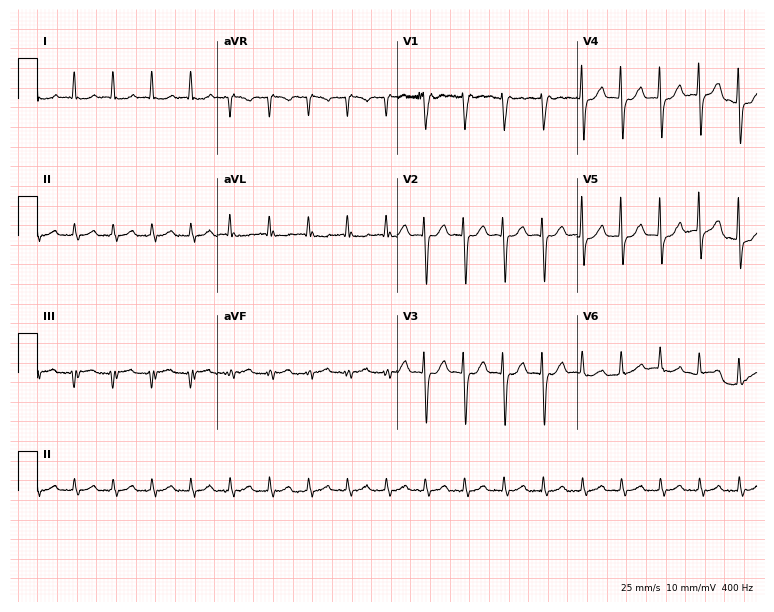
ECG — an 82-year-old female patient. Findings include sinus tachycardia (a sinus rate of 100 beats per minute or more).